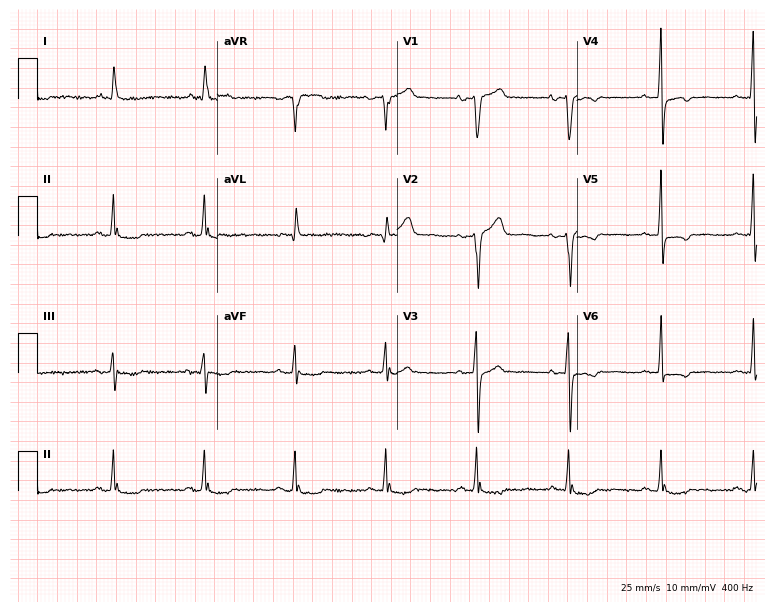
Electrocardiogram, a 69-year-old woman. Of the six screened findings (first-degree AV block, right bundle branch block (RBBB), left bundle branch block (LBBB), sinus bradycardia, atrial fibrillation (AF), sinus tachycardia), none is recorded.